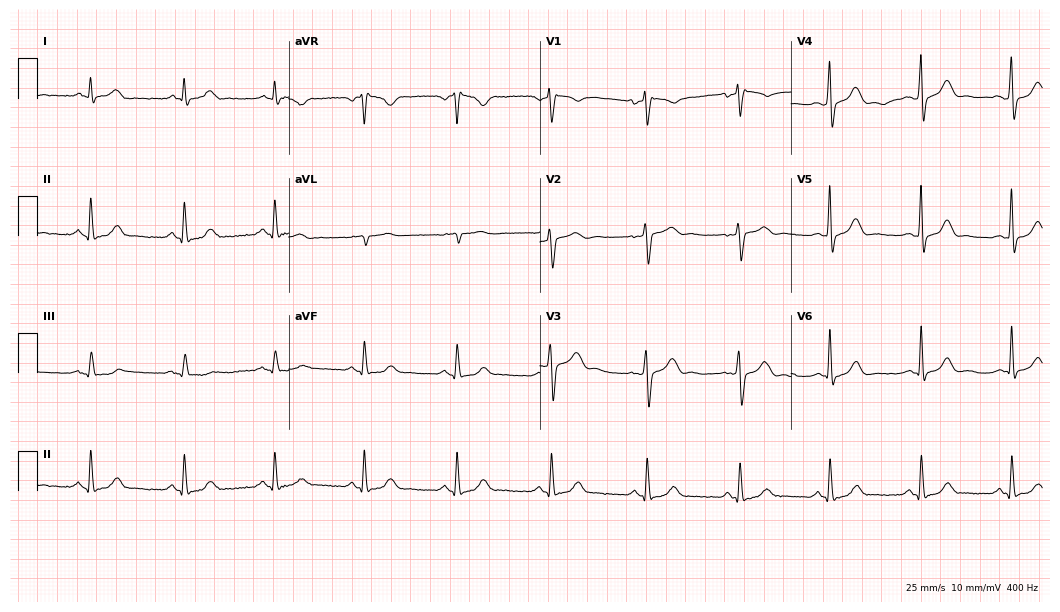
Standard 12-lead ECG recorded from a 75-year-old male. Read as a normal ECG.